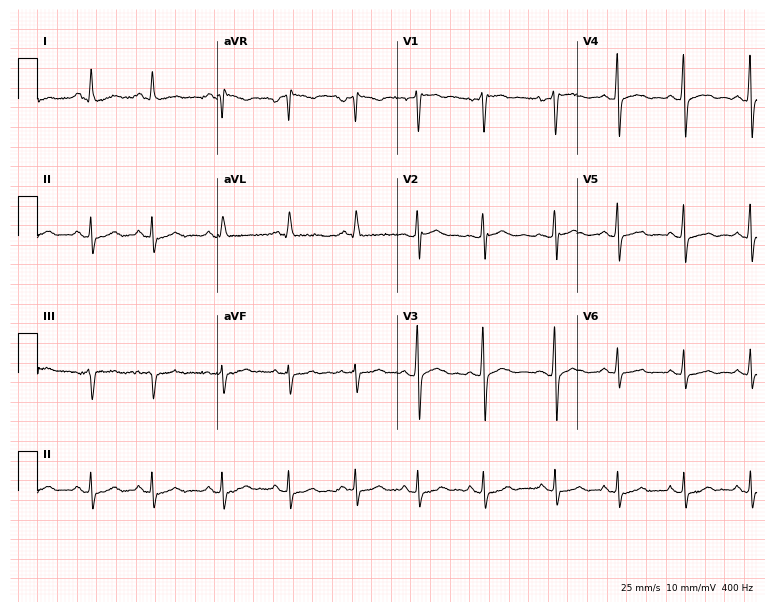
12-lead ECG from a 55-year-old man. Screened for six findings — first-degree AV block, right bundle branch block, left bundle branch block, sinus bradycardia, atrial fibrillation, sinus tachycardia — none is recorded.